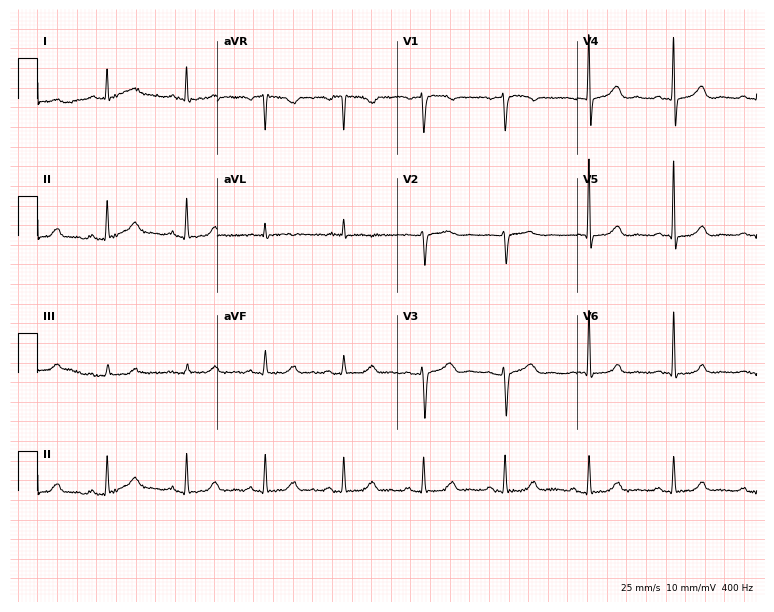
Standard 12-lead ECG recorded from a female, 68 years old (7.3-second recording at 400 Hz). Read as a normal ECG.